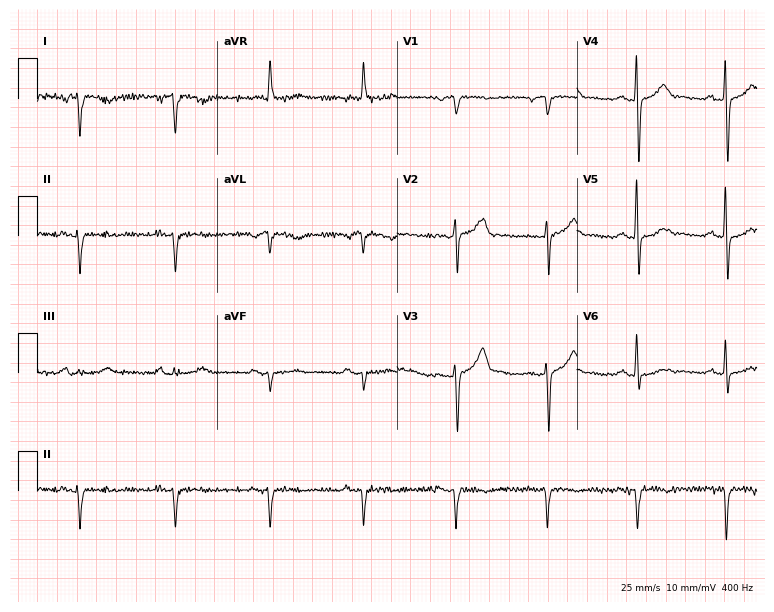
12-lead ECG from a 62-year-old male patient. No first-degree AV block, right bundle branch block, left bundle branch block, sinus bradycardia, atrial fibrillation or sinus tachycardia recorded for this tracing. Findings outside these six are not listed.